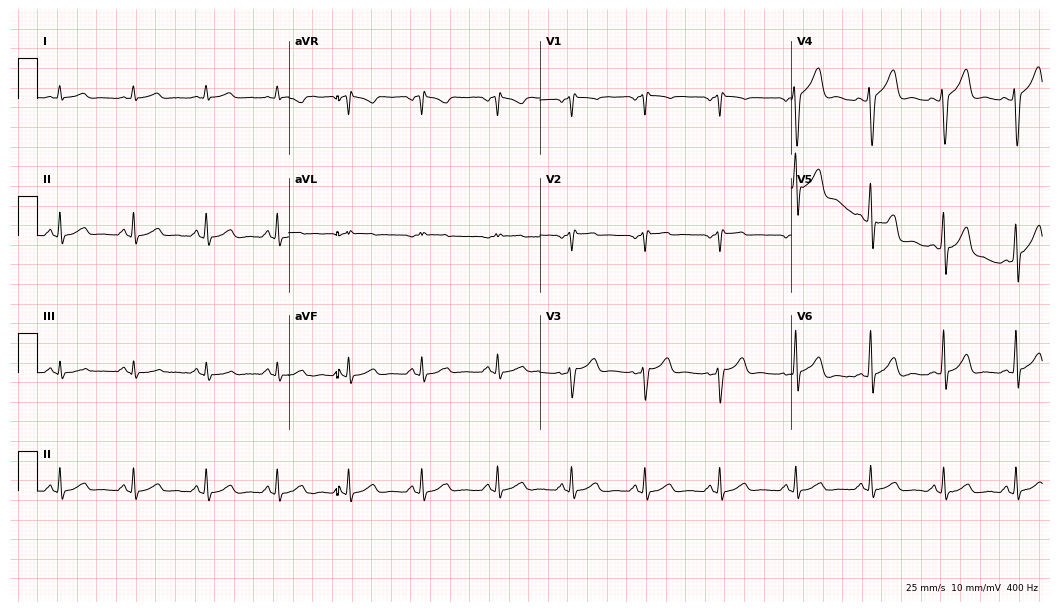
Electrocardiogram (10.2-second recording at 400 Hz), a 42-year-old male. Of the six screened findings (first-degree AV block, right bundle branch block (RBBB), left bundle branch block (LBBB), sinus bradycardia, atrial fibrillation (AF), sinus tachycardia), none is recorded.